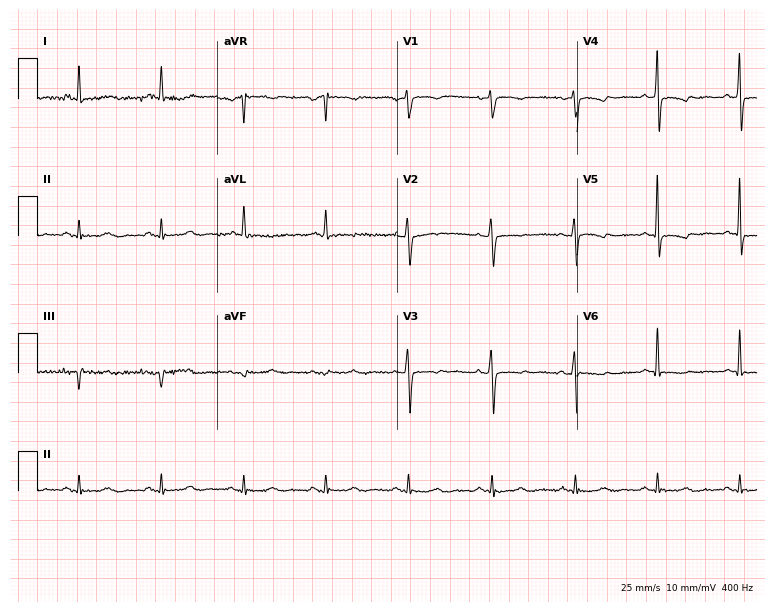
Resting 12-lead electrocardiogram (7.3-second recording at 400 Hz). Patient: a female, 63 years old. None of these six findings is recorded: first-degree AV block, right bundle branch block, left bundle branch block, sinus bradycardia, atrial fibrillation, sinus tachycardia. Other findings, if any, are not listed.